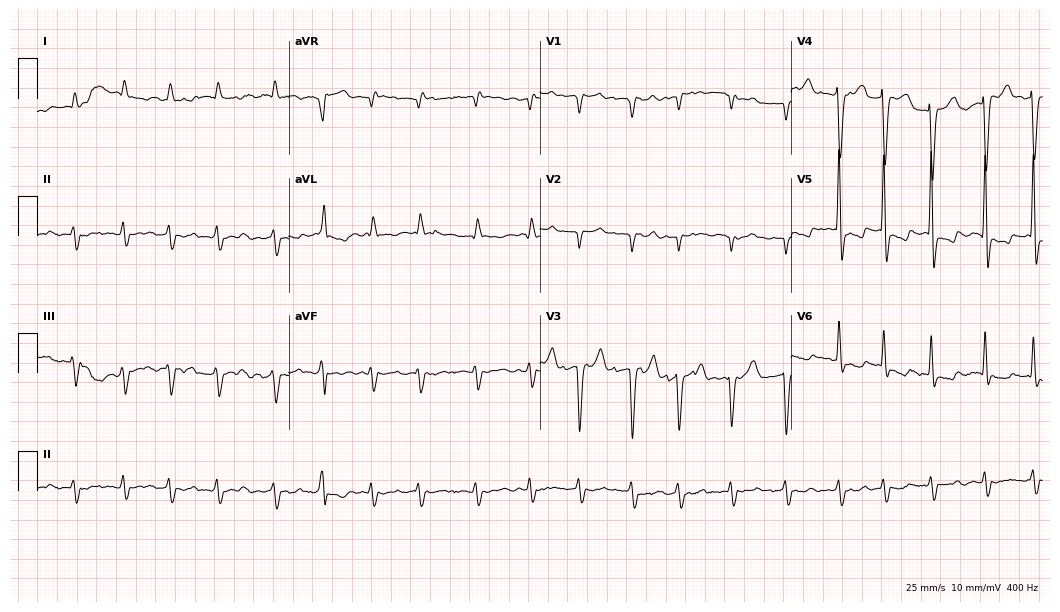
Electrocardiogram, an 80-year-old man. Of the six screened findings (first-degree AV block, right bundle branch block, left bundle branch block, sinus bradycardia, atrial fibrillation, sinus tachycardia), none is recorded. Findings outside these six are not listed.